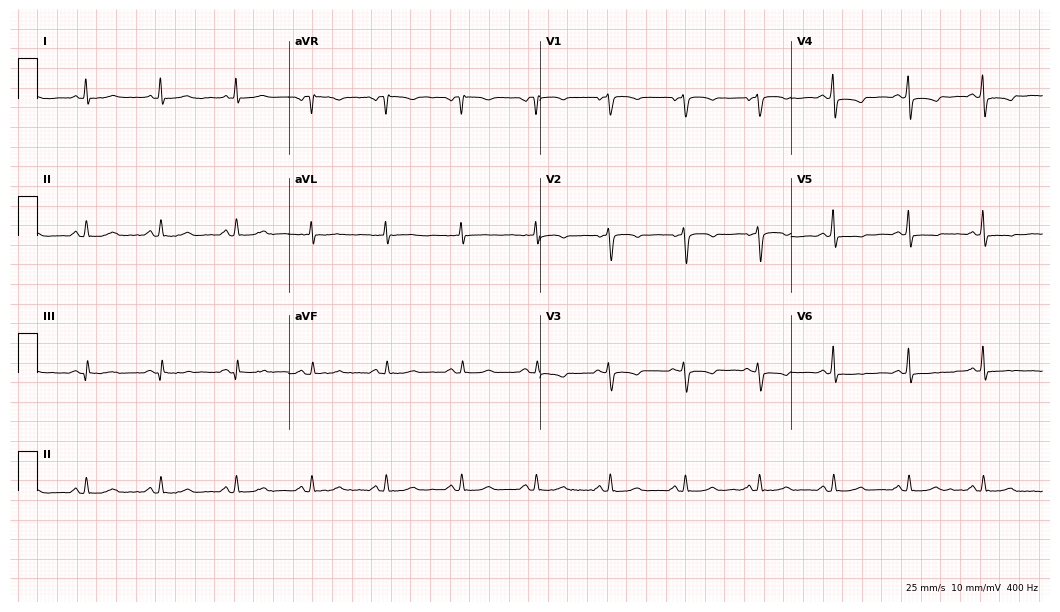
ECG (10.2-second recording at 400 Hz) — a female, 55 years old. Screened for six findings — first-degree AV block, right bundle branch block, left bundle branch block, sinus bradycardia, atrial fibrillation, sinus tachycardia — none is recorded.